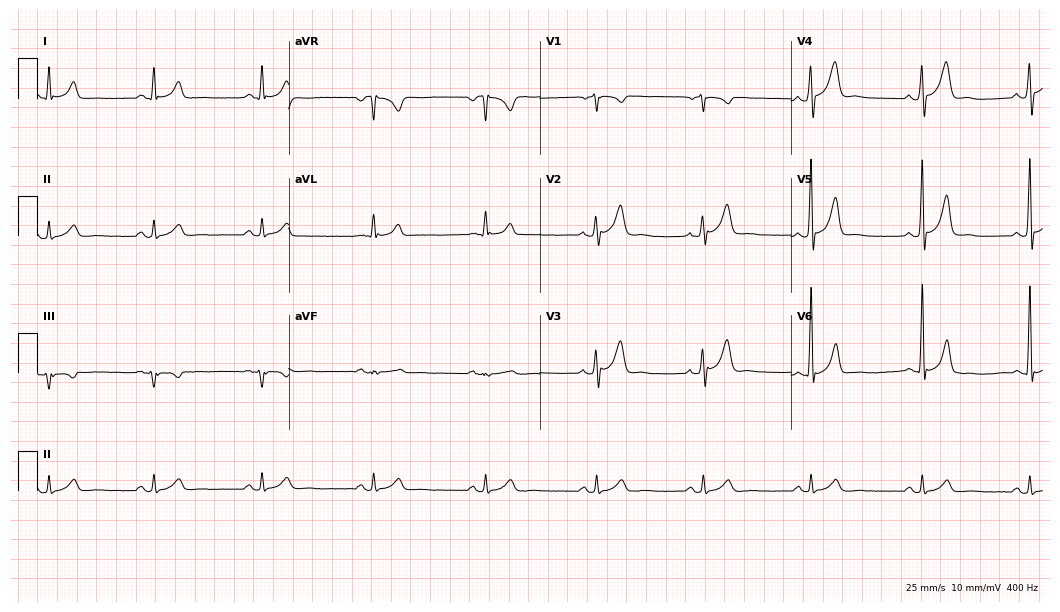
12-lead ECG from a man, 51 years old. Labelled as a normal ECG.